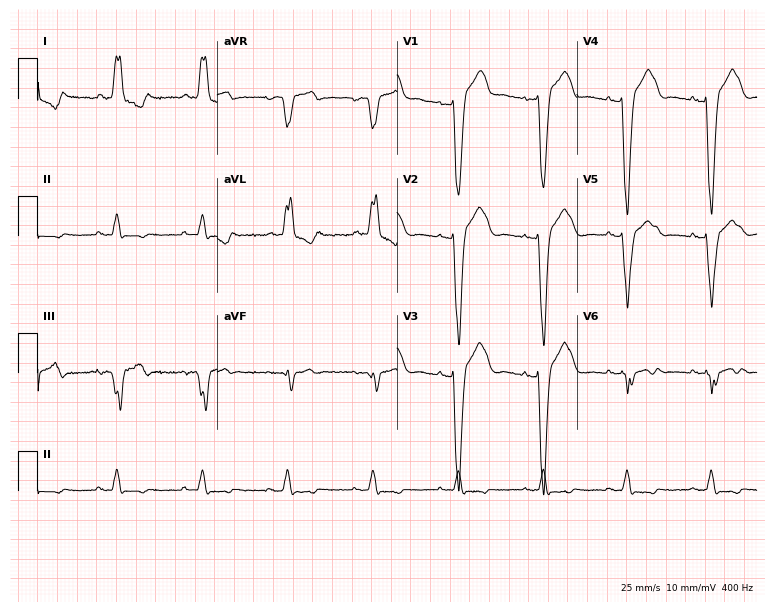
Resting 12-lead electrocardiogram. Patient: a 72-year-old male. The tracing shows left bundle branch block.